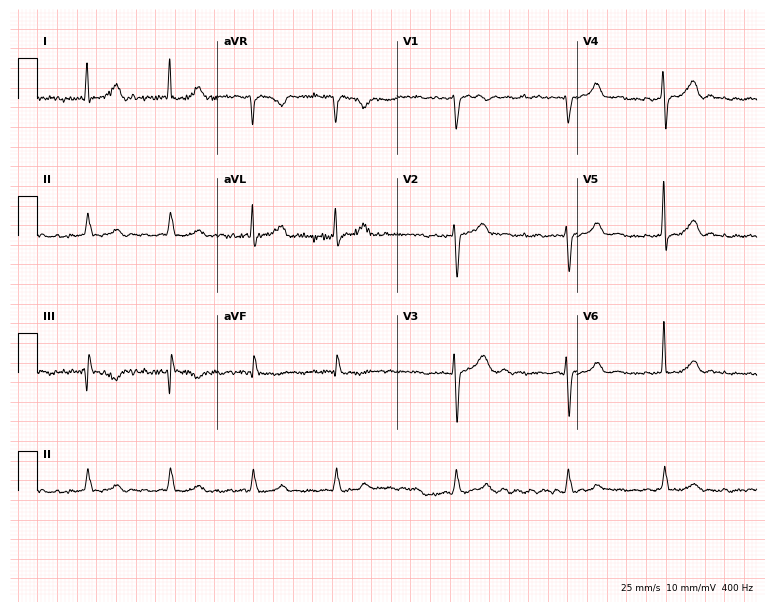
Standard 12-lead ECG recorded from a male patient, 67 years old (7.3-second recording at 400 Hz). None of these six findings is recorded: first-degree AV block, right bundle branch block, left bundle branch block, sinus bradycardia, atrial fibrillation, sinus tachycardia. Findings outside these six are not listed.